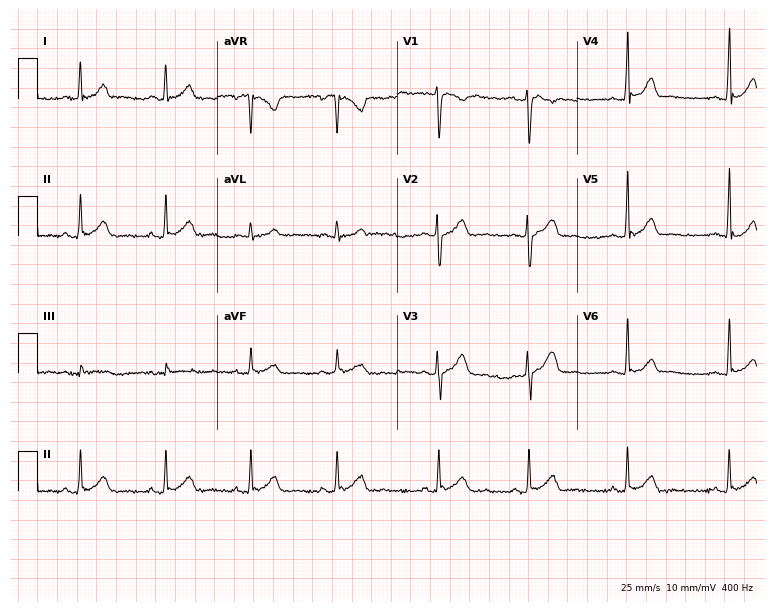
Electrocardiogram (7.3-second recording at 400 Hz), a 21-year-old female. Overall reading on record: normal ECG.